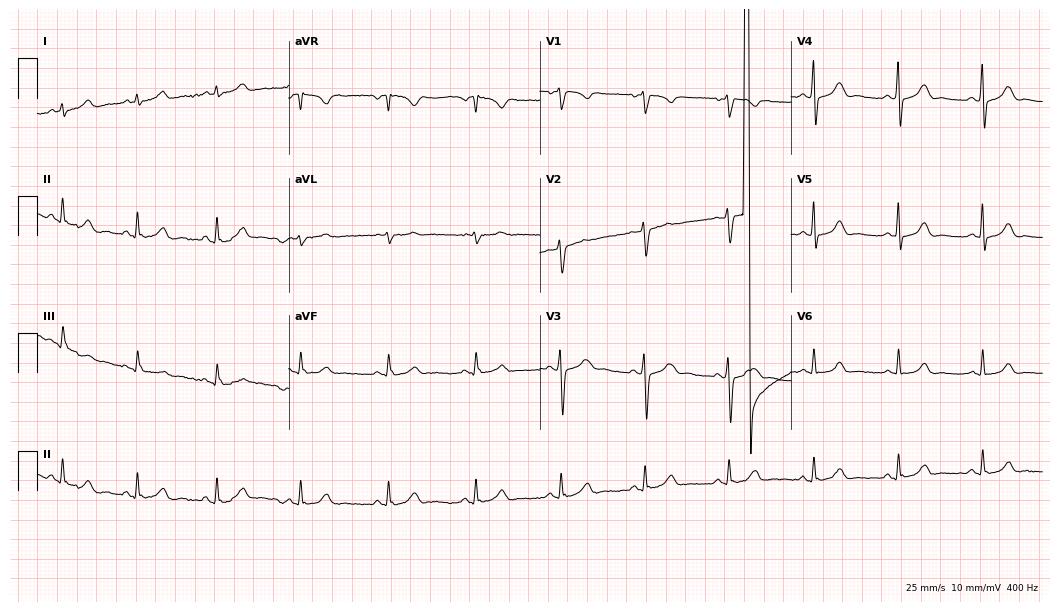
Resting 12-lead electrocardiogram. Patient: a female, 32 years old. Read as a normal ECG.